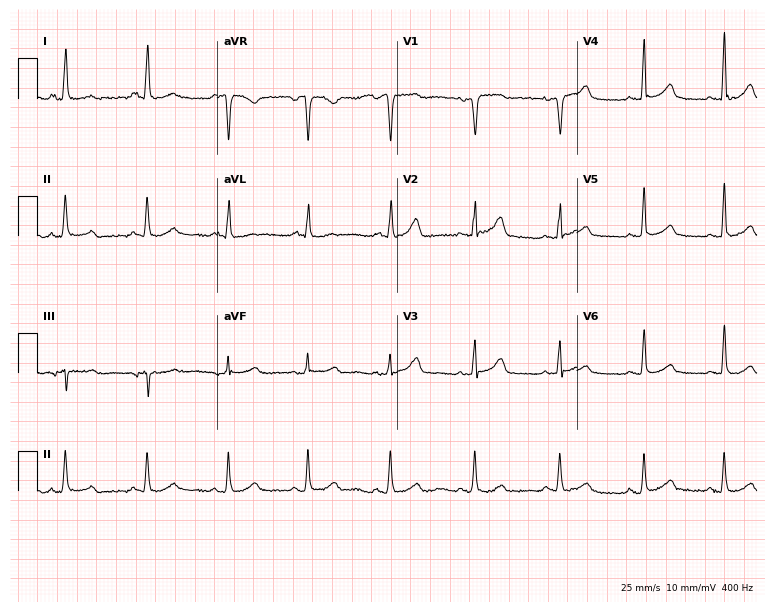
ECG (7.3-second recording at 400 Hz) — a 65-year-old female patient. Labelled as a normal ECG.